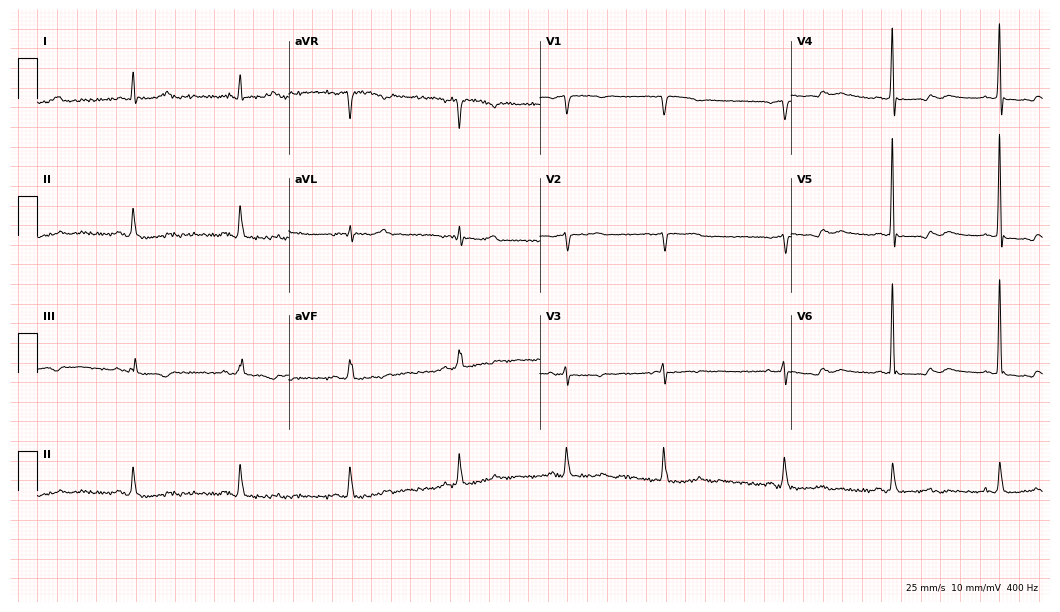
12-lead ECG from a 78-year-old woman. No first-degree AV block, right bundle branch block, left bundle branch block, sinus bradycardia, atrial fibrillation or sinus tachycardia recorded for this tracing. Findings outside these six are not listed.